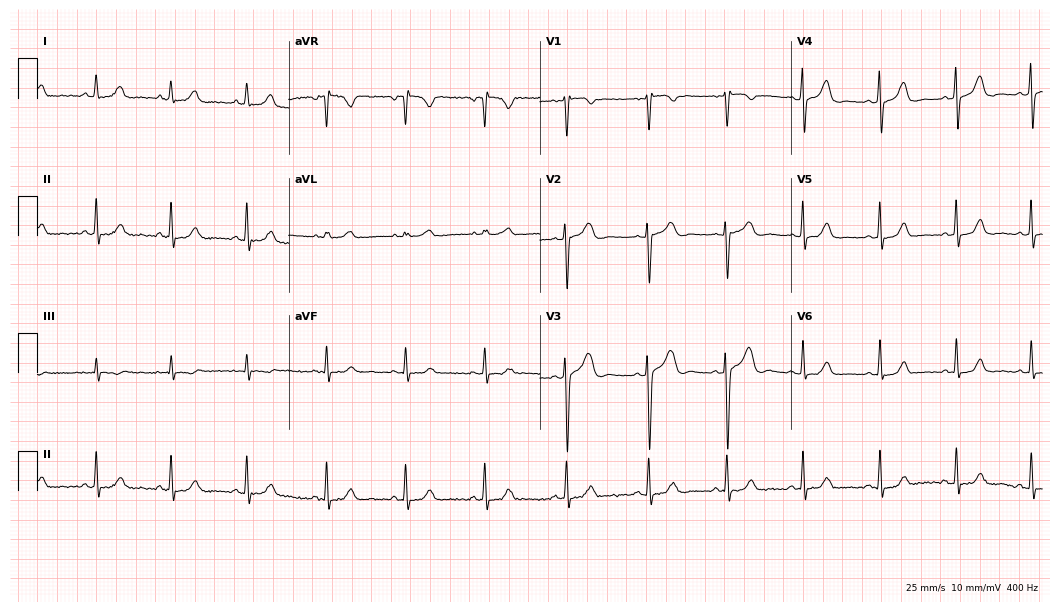
Standard 12-lead ECG recorded from a female, 40 years old. Read as a normal ECG.